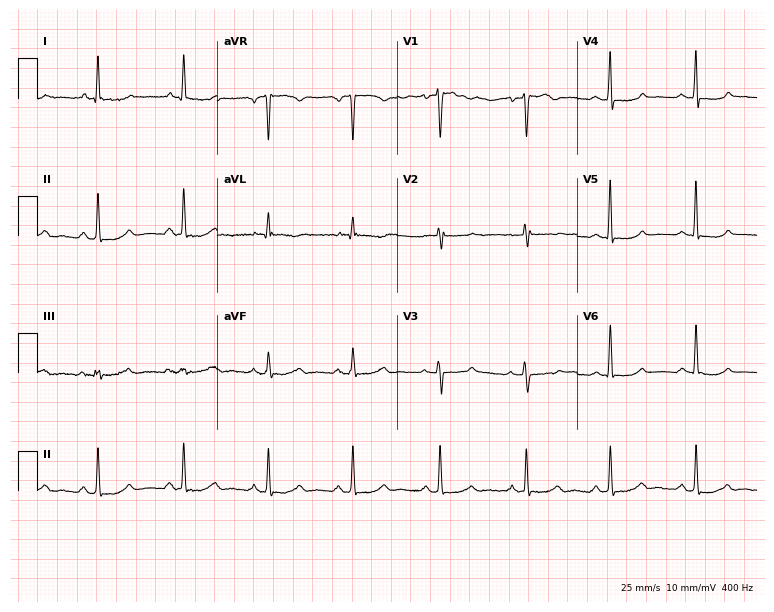
Standard 12-lead ECG recorded from a woman, 57 years old (7.3-second recording at 400 Hz). None of these six findings is recorded: first-degree AV block, right bundle branch block, left bundle branch block, sinus bradycardia, atrial fibrillation, sinus tachycardia. Other findings, if any, are not listed.